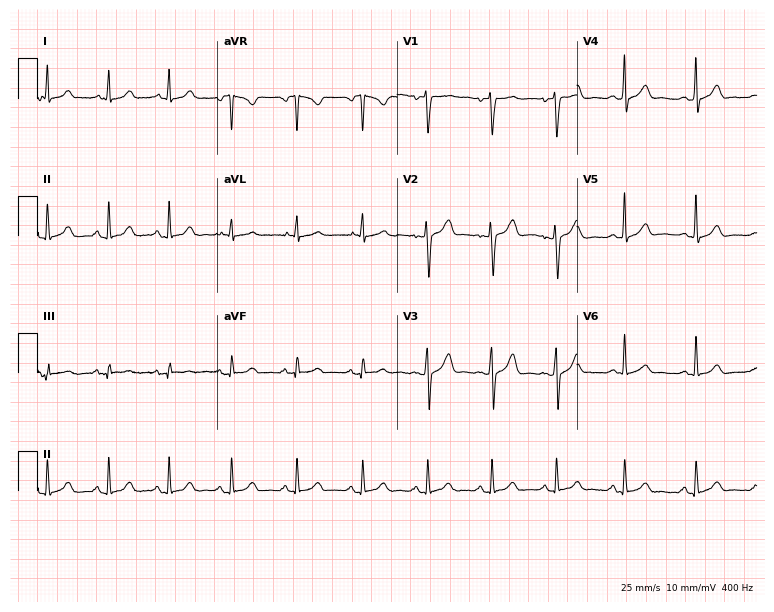
ECG — a 31-year-old female patient. Labelled as a normal ECG.